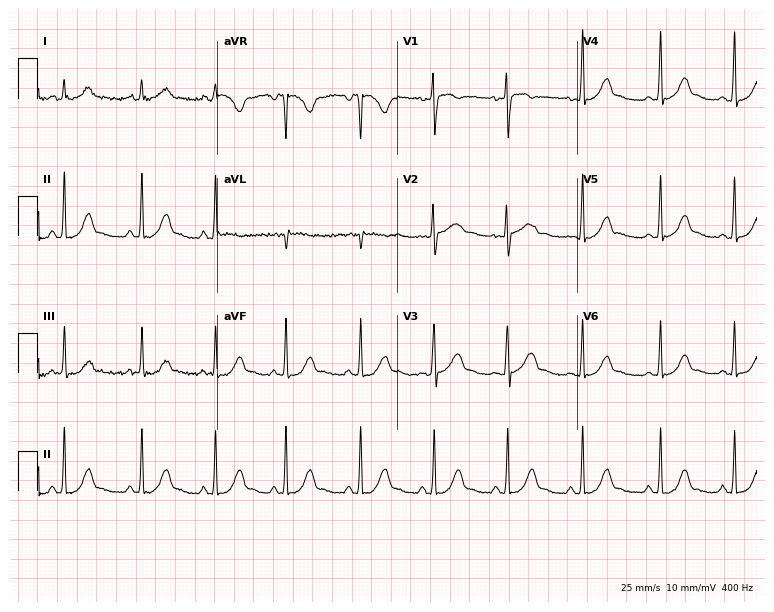
Standard 12-lead ECG recorded from a female, 28 years old (7.3-second recording at 400 Hz). Read as a normal ECG.